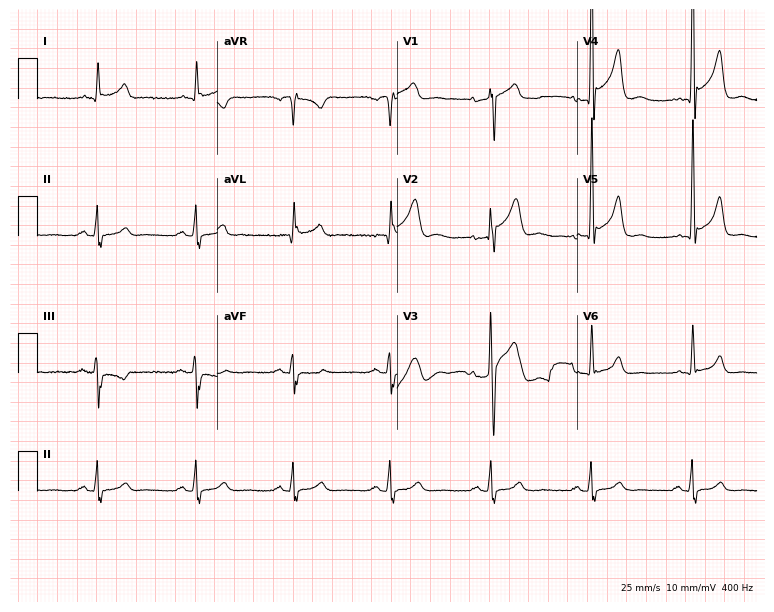
Electrocardiogram (7.3-second recording at 400 Hz), a 57-year-old male. Of the six screened findings (first-degree AV block, right bundle branch block, left bundle branch block, sinus bradycardia, atrial fibrillation, sinus tachycardia), none is recorded.